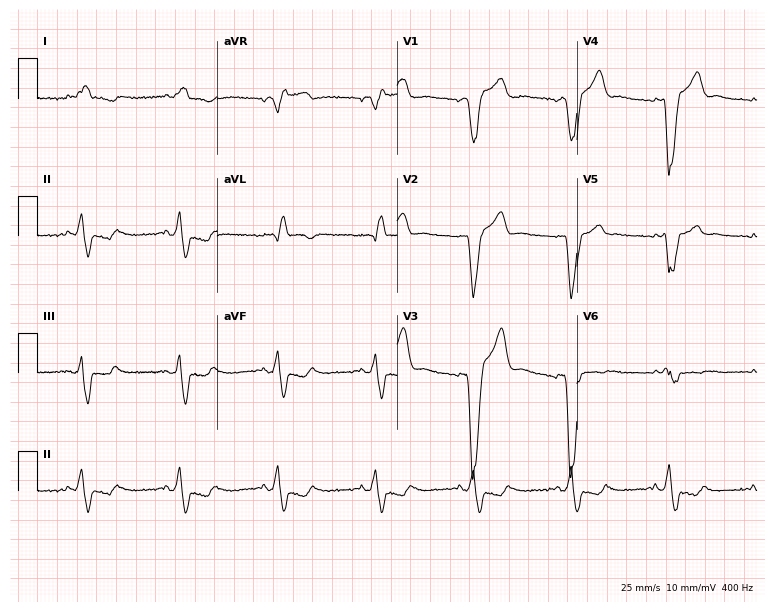
Resting 12-lead electrocardiogram. Patient: a male, 81 years old. The tracing shows left bundle branch block.